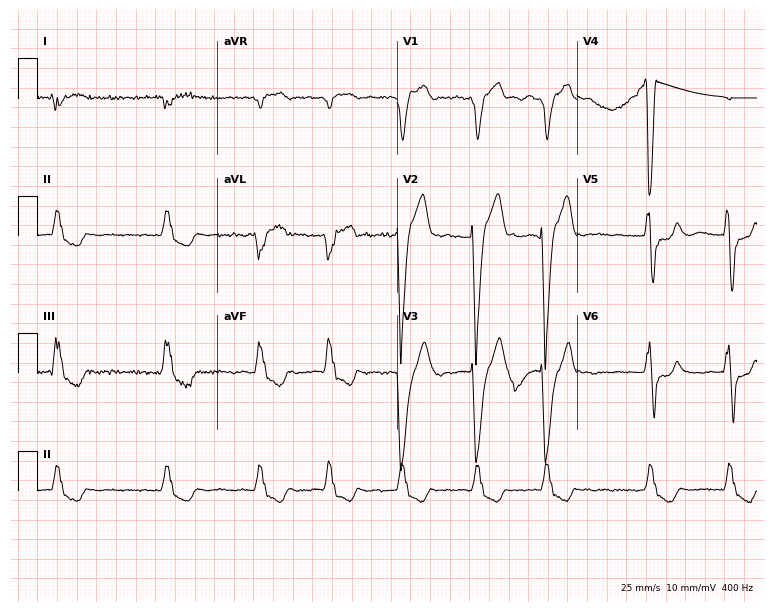
12-lead ECG from a woman, 74 years old. No first-degree AV block, right bundle branch block, left bundle branch block, sinus bradycardia, atrial fibrillation or sinus tachycardia recorded for this tracing.